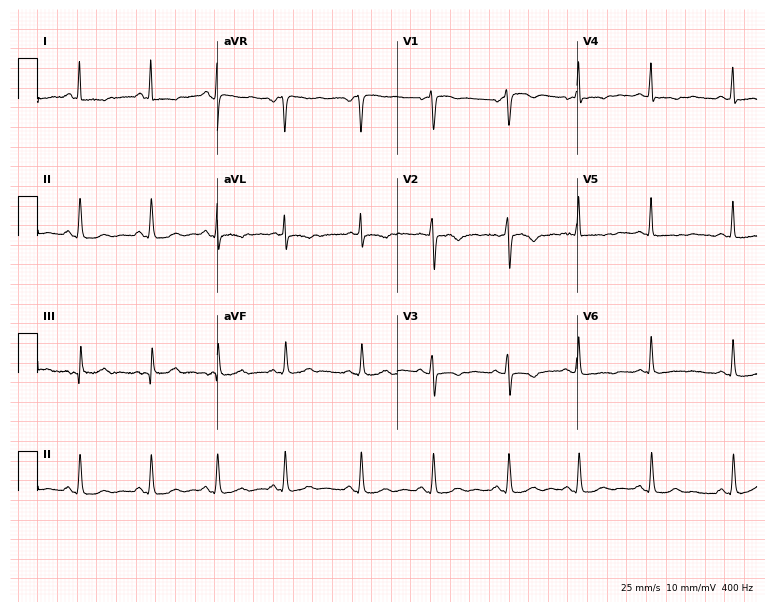
Electrocardiogram (7.3-second recording at 400 Hz), a 44-year-old woman. Of the six screened findings (first-degree AV block, right bundle branch block, left bundle branch block, sinus bradycardia, atrial fibrillation, sinus tachycardia), none is recorded. Only these six findings were labelled.